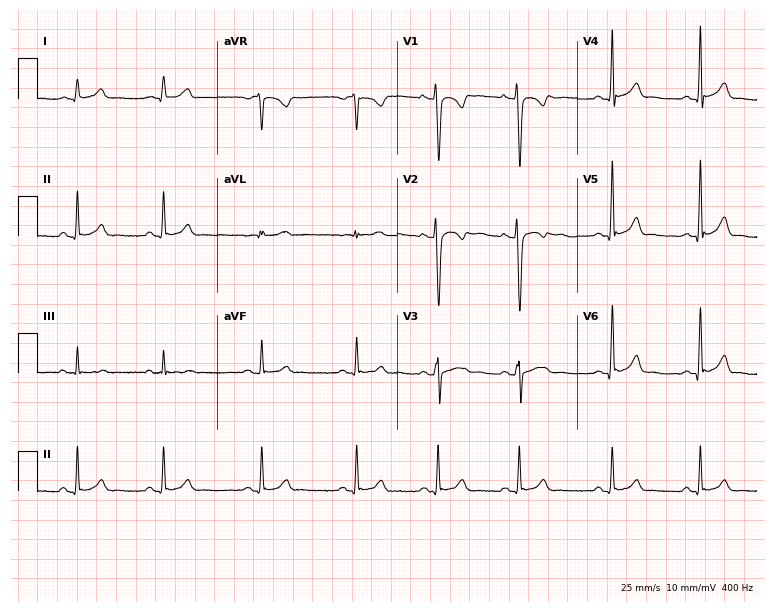
Resting 12-lead electrocardiogram. Patient: a 34-year-old female. Read as a normal ECG.